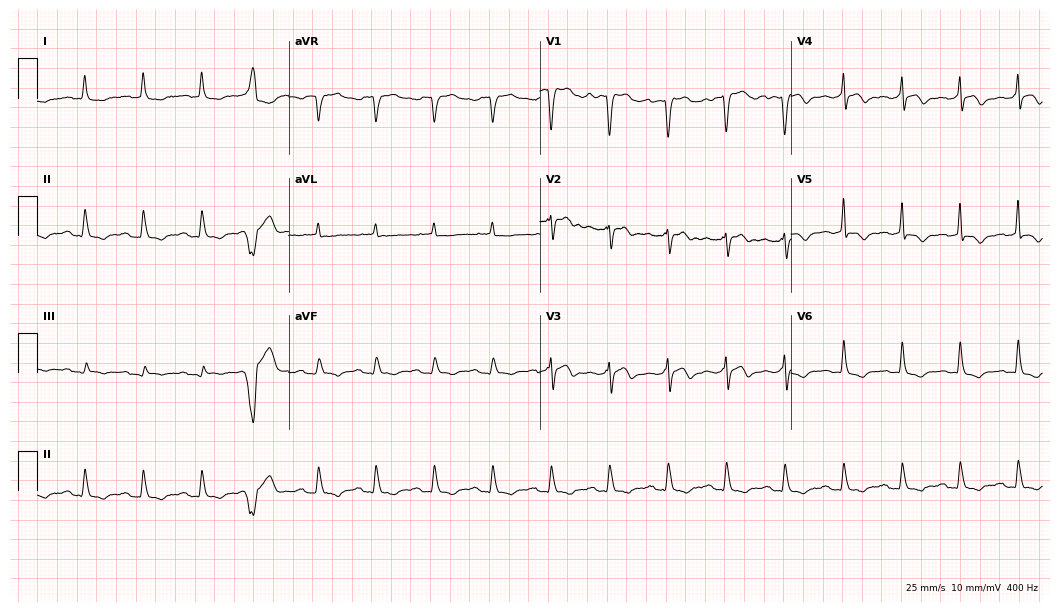
Electrocardiogram, a 79-year-old male patient. Interpretation includes sinus tachycardia (a sinus rate of 100 beats per minute or more).